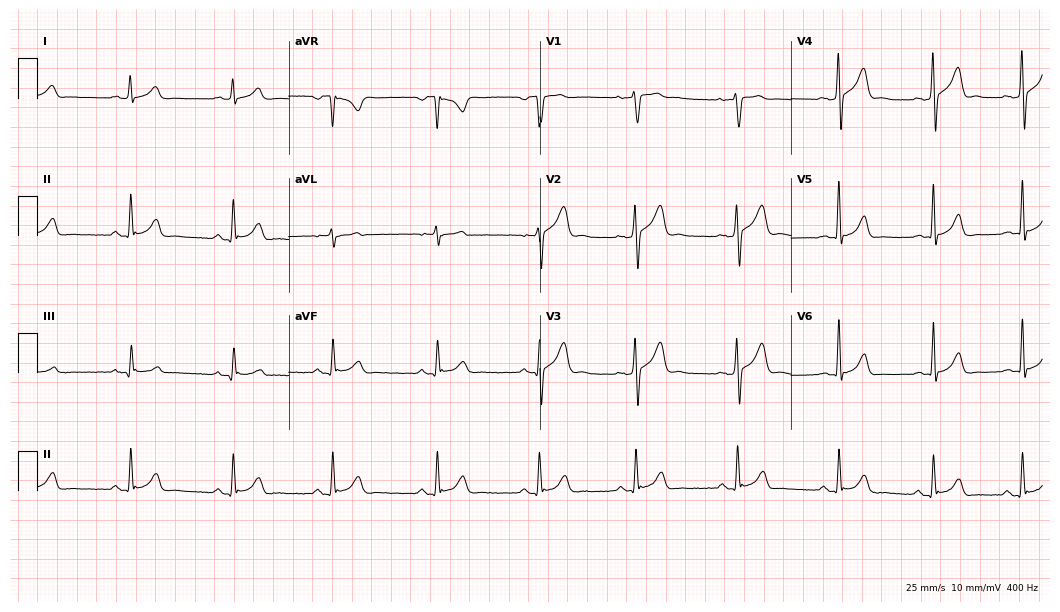
ECG — a man, 22 years old. Labelled as a normal ECG.